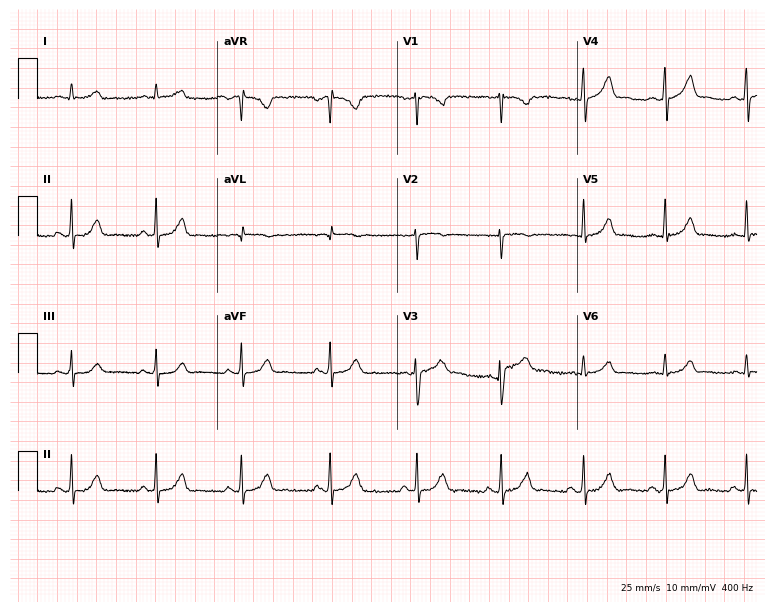
Standard 12-lead ECG recorded from a 41-year-old man. Read as a normal ECG.